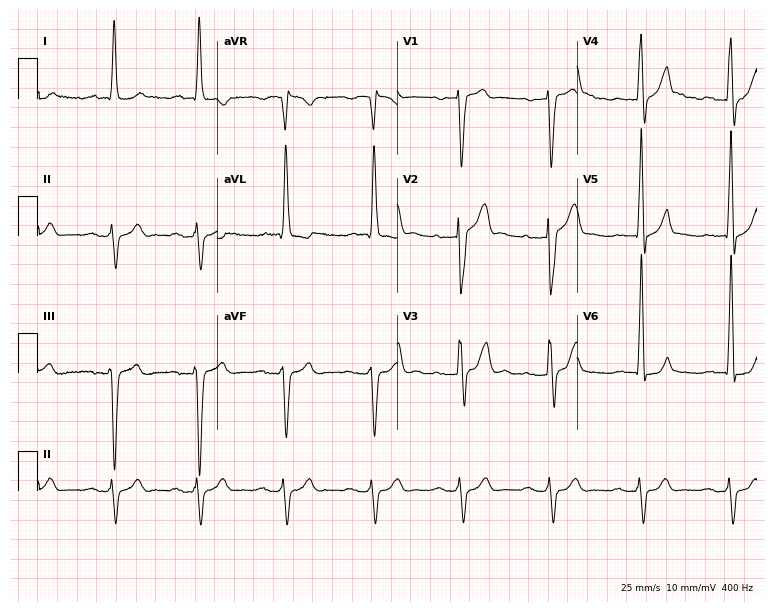
ECG (7.3-second recording at 400 Hz) — an 82-year-old male patient. Findings include first-degree AV block.